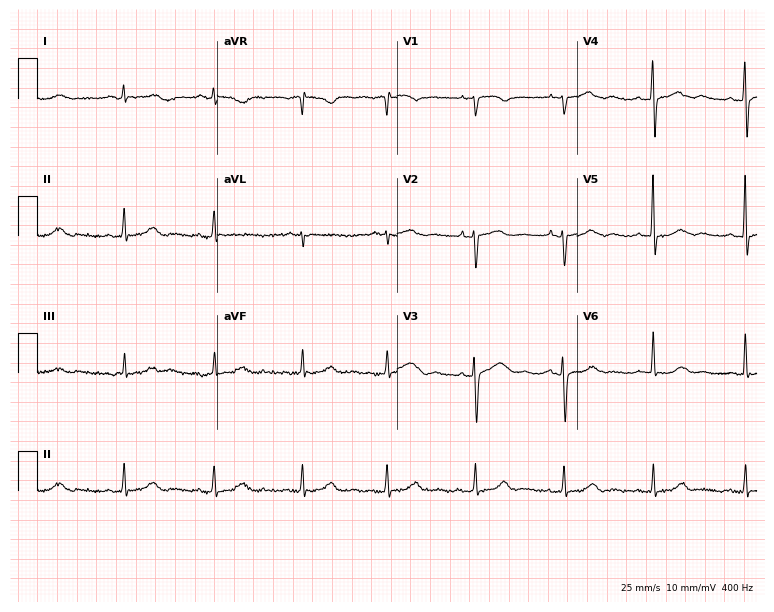
Resting 12-lead electrocardiogram (7.3-second recording at 400 Hz). Patient: a 71-year-old female. Read as a normal ECG.